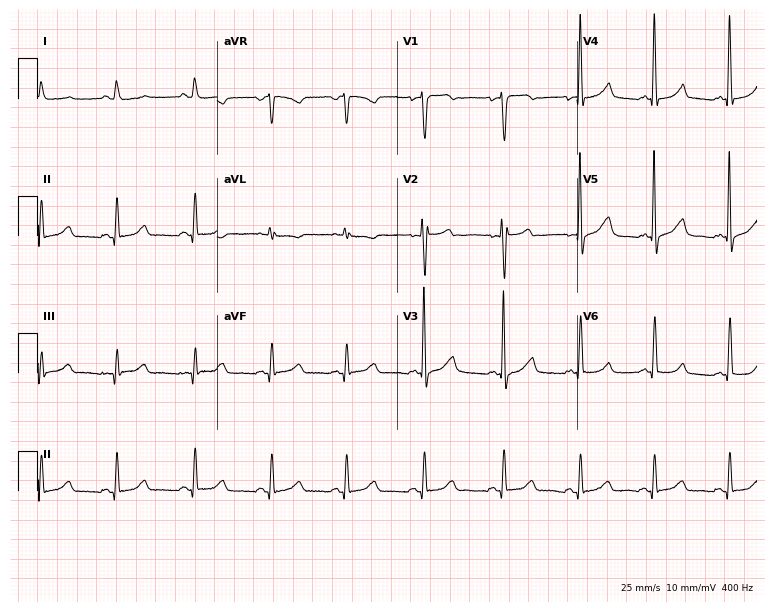
Electrocardiogram, a 40-year-old female. Of the six screened findings (first-degree AV block, right bundle branch block (RBBB), left bundle branch block (LBBB), sinus bradycardia, atrial fibrillation (AF), sinus tachycardia), none is recorded.